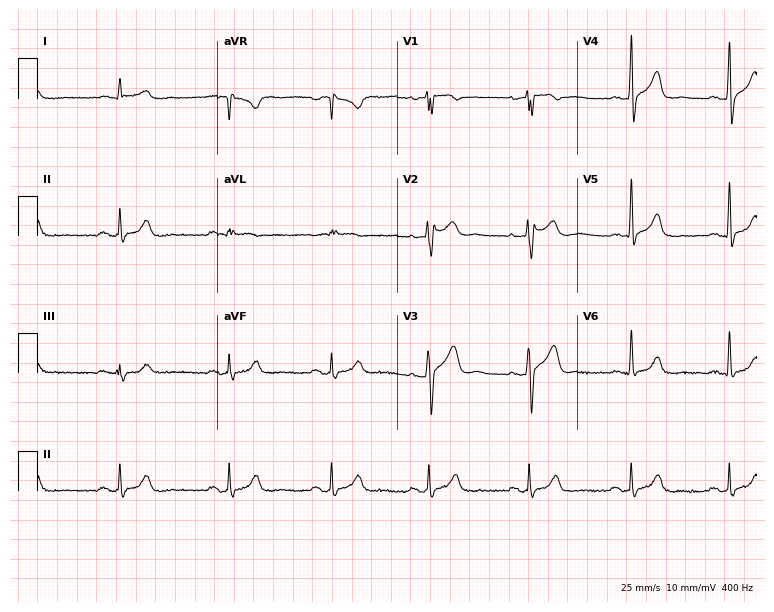
Electrocardiogram (7.3-second recording at 400 Hz), a 52-year-old male patient. Of the six screened findings (first-degree AV block, right bundle branch block, left bundle branch block, sinus bradycardia, atrial fibrillation, sinus tachycardia), none is recorded. Only these six findings were labelled.